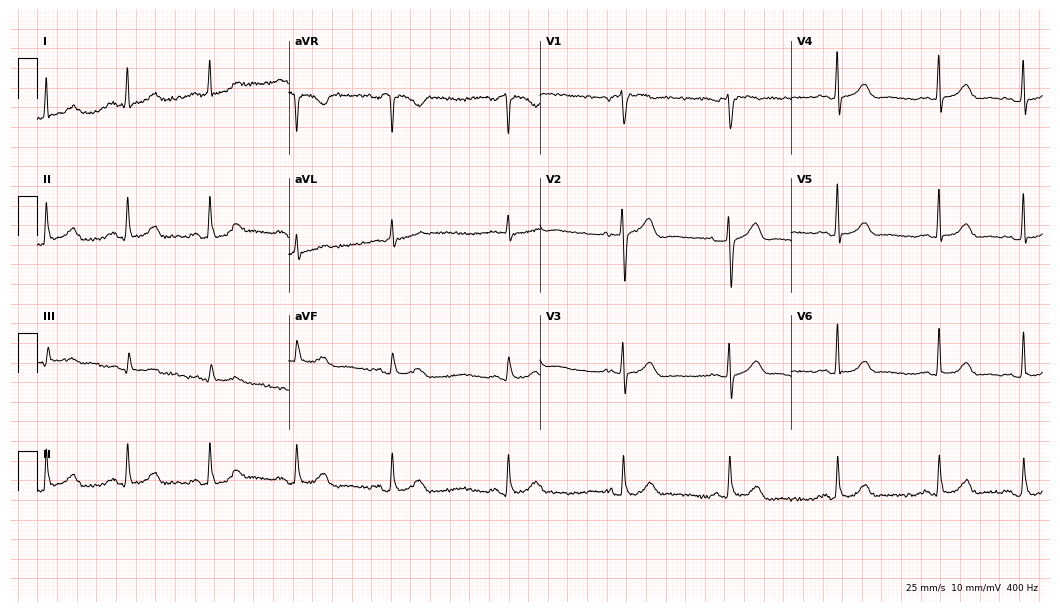
12-lead ECG from a 70-year-old woman (10.2-second recording at 400 Hz). Recorded interpretation: within normal limits.